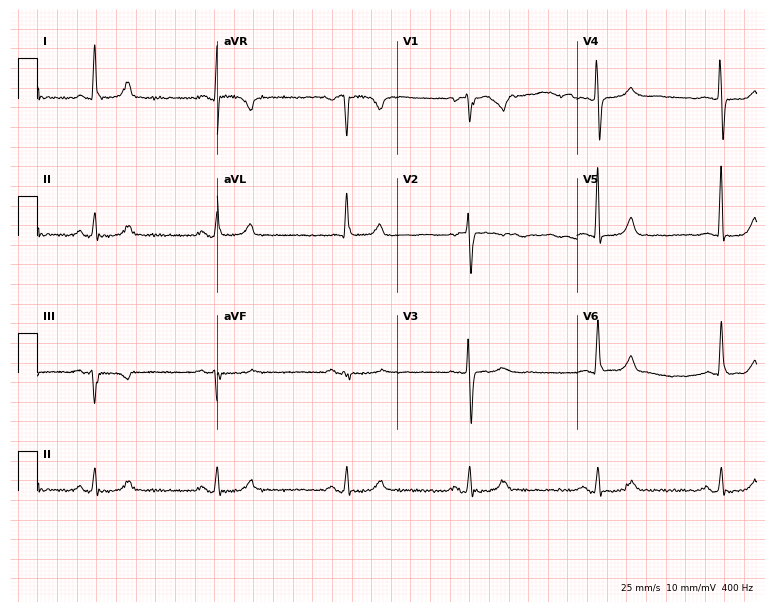
12-lead ECG from a female patient, 71 years old (7.3-second recording at 400 Hz). Shows sinus bradycardia (a sinus rate of 50 beats per minute or less).